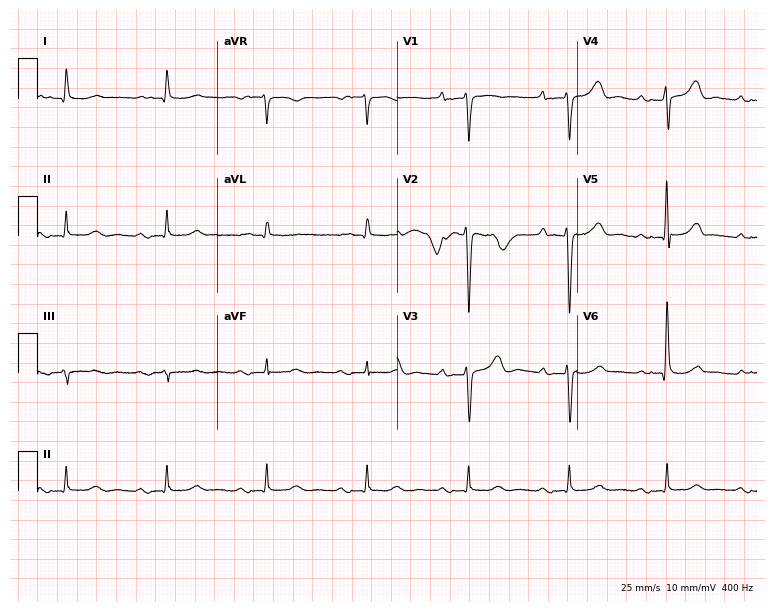
12-lead ECG from a 60-year-old man. Findings include first-degree AV block.